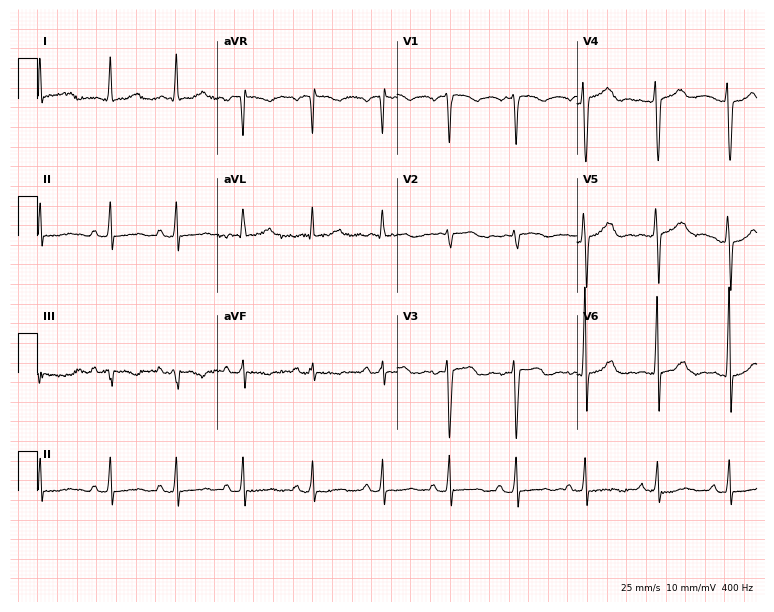
12-lead ECG from a woman, 70 years old. Screened for six findings — first-degree AV block, right bundle branch block, left bundle branch block, sinus bradycardia, atrial fibrillation, sinus tachycardia — none is recorded.